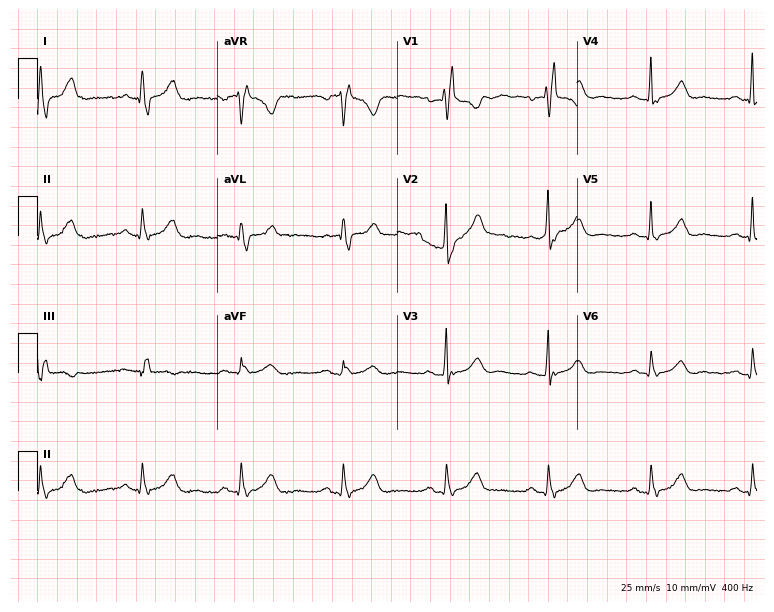
Standard 12-lead ECG recorded from a 61-year-old woman. The tracing shows right bundle branch block.